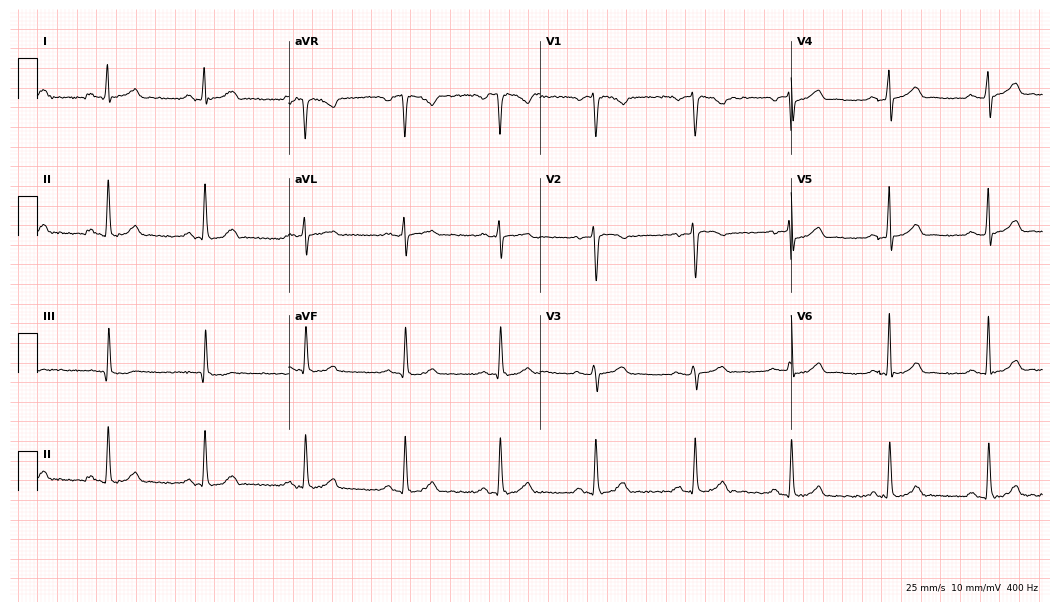
ECG (10.2-second recording at 400 Hz) — a 37-year-old female. Labelled as a normal ECG.